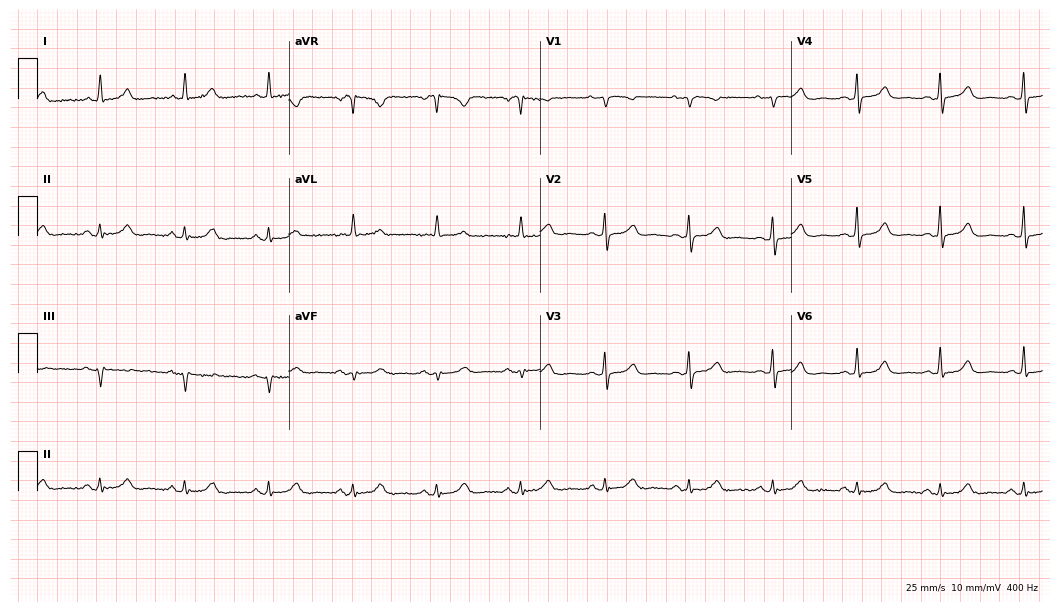
Resting 12-lead electrocardiogram (10.2-second recording at 400 Hz). Patient: a woman, 81 years old. None of these six findings is recorded: first-degree AV block, right bundle branch block, left bundle branch block, sinus bradycardia, atrial fibrillation, sinus tachycardia. Other findings, if any, are not listed.